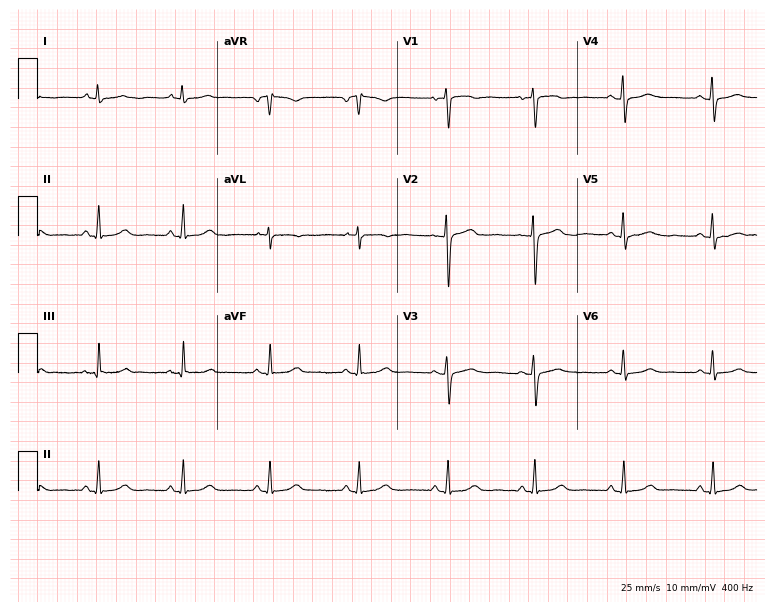
Resting 12-lead electrocardiogram. Patient: a woman, 55 years old. None of these six findings is recorded: first-degree AV block, right bundle branch block, left bundle branch block, sinus bradycardia, atrial fibrillation, sinus tachycardia. Findings outside these six are not listed.